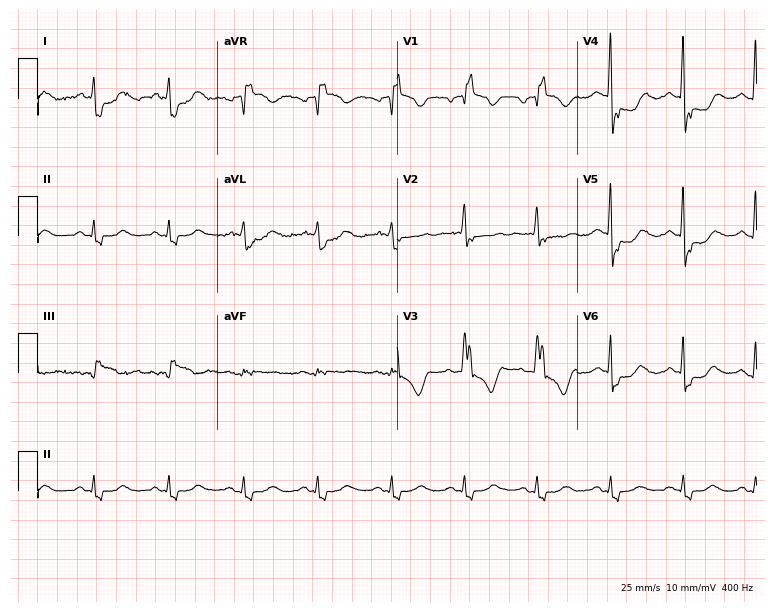
Electrocardiogram, a male, 70 years old. Interpretation includes right bundle branch block (RBBB).